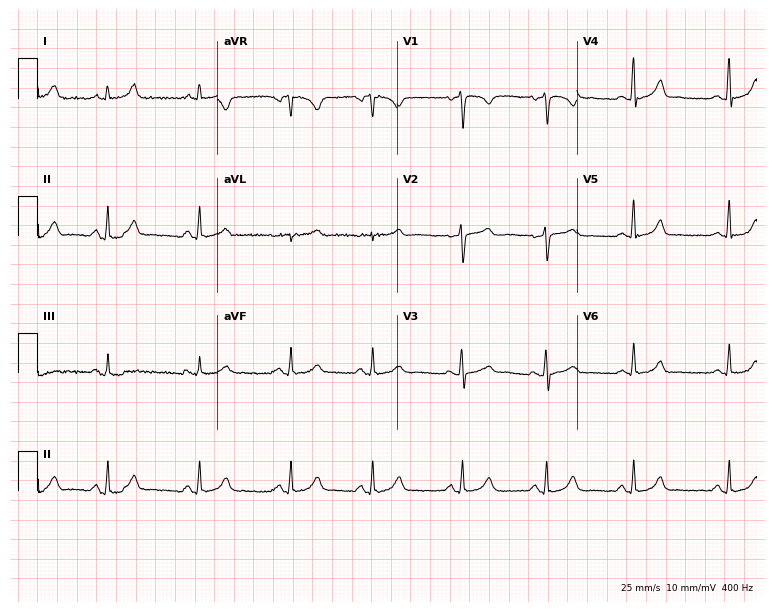
12-lead ECG from a 38-year-old female patient. Recorded interpretation: within normal limits.